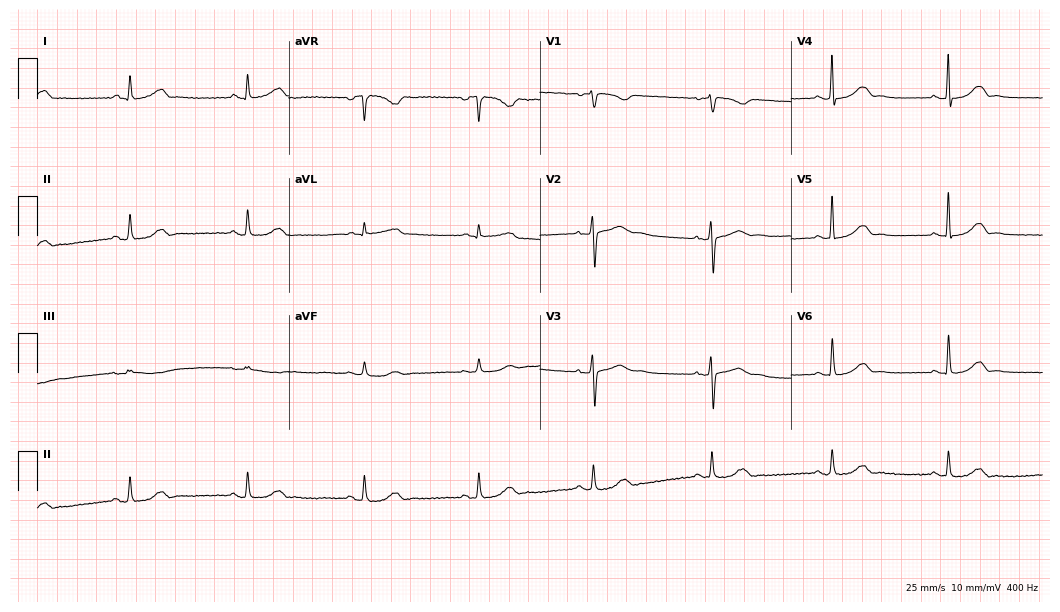
ECG (10.2-second recording at 400 Hz) — a female patient, 63 years old. Screened for six findings — first-degree AV block, right bundle branch block, left bundle branch block, sinus bradycardia, atrial fibrillation, sinus tachycardia — none is recorded. Other findings, if any, are not listed.